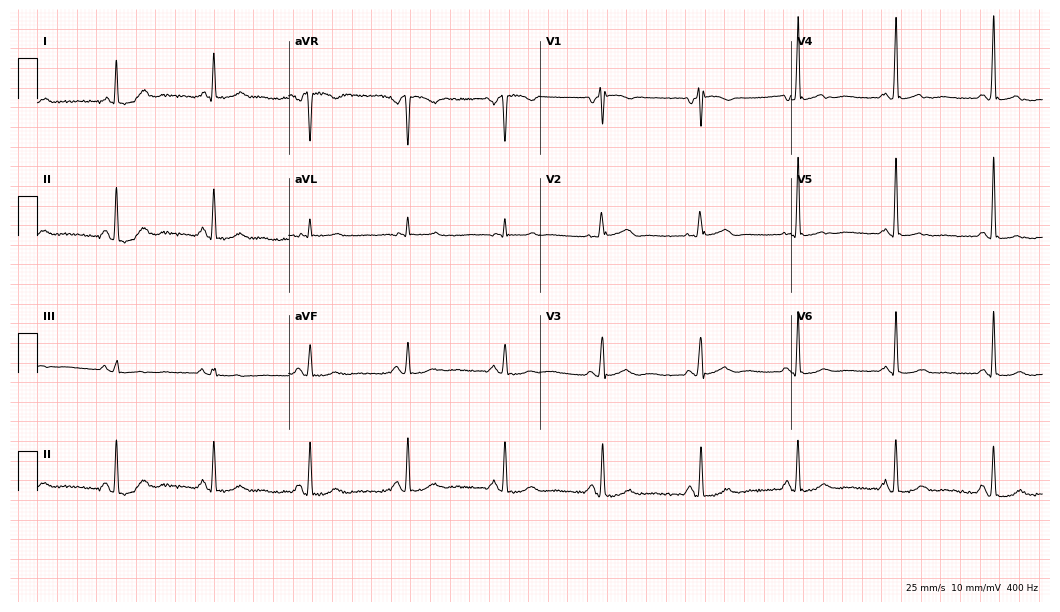
Resting 12-lead electrocardiogram. Patient: a 71-year-old female. Read as a normal ECG.